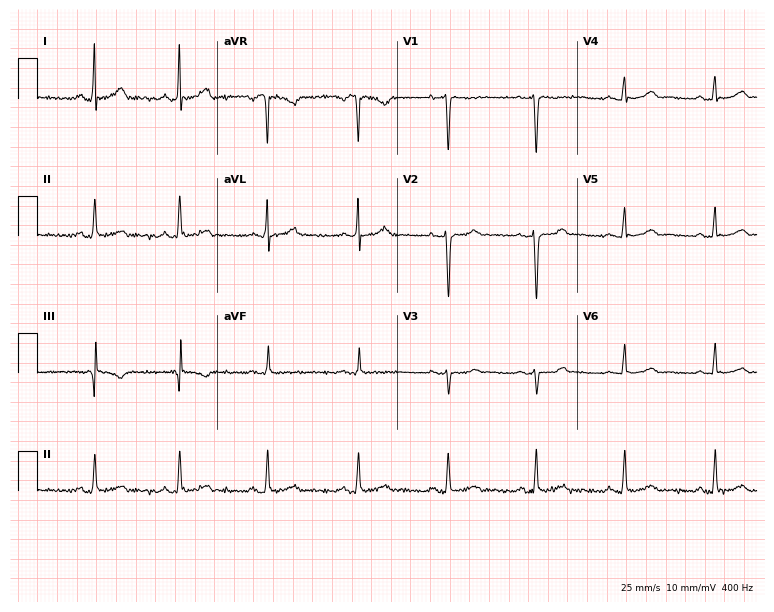
ECG — a female, 35 years old. Screened for six findings — first-degree AV block, right bundle branch block, left bundle branch block, sinus bradycardia, atrial fibrillation, sinus tachycardia — none is recorded. Findings outside these six are not listed.